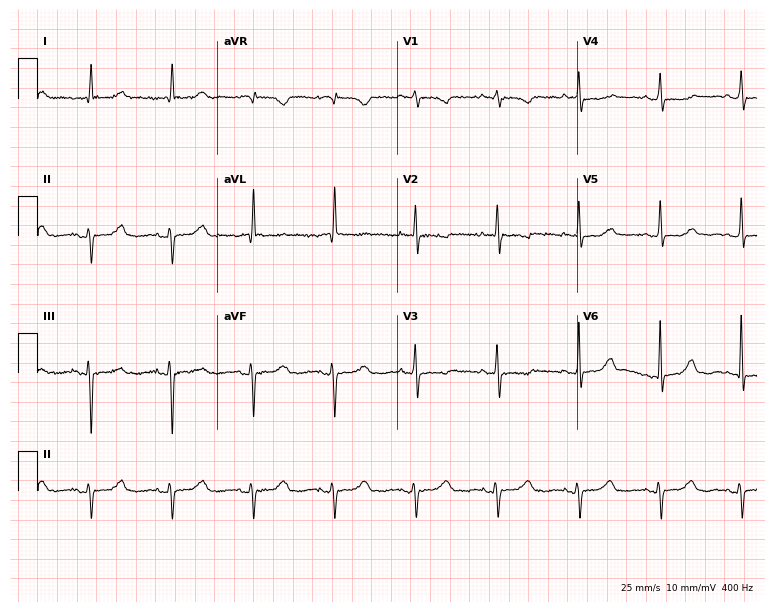
ECG — a female, 85 years old. Screened for six findings — first-degree AV block, right bundle branch block (RBBB), left bundle branch block (LBBB), sinus bradycardia, atrial fibrillation (AF), sinus tachycardia — none is recorded. Only these six findings were labelled.